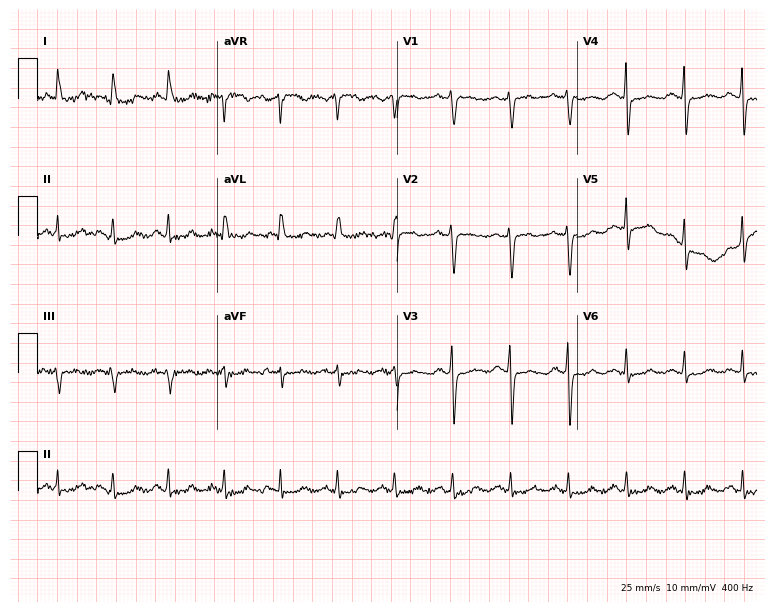
Electrocardiogram (7.3-second recording at 400 Hz), a 61-year-old female. Interpretation includes sinus tachycardia (a sinus rate of 100 beats per minute or more).